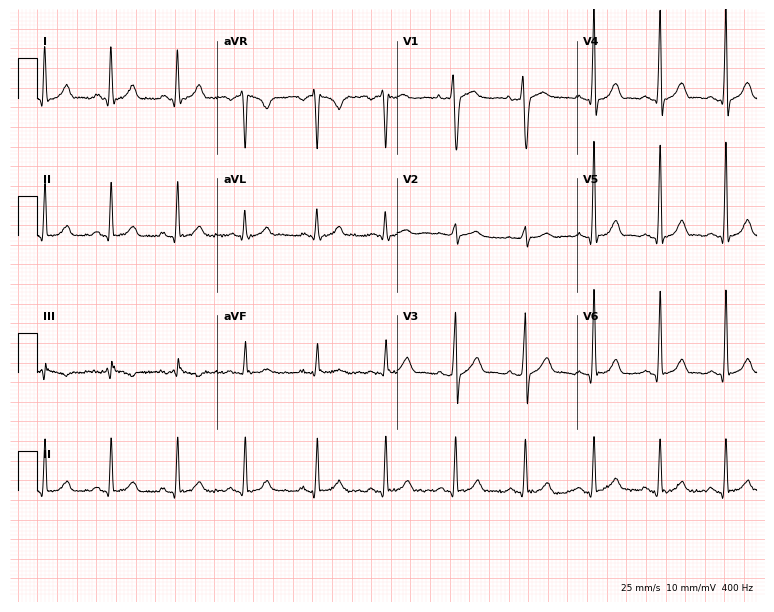
Electrocardiogram (7.3-second recording at 400 Hz), a male patient, 21 years old. Overall reading on record: normal ECG.